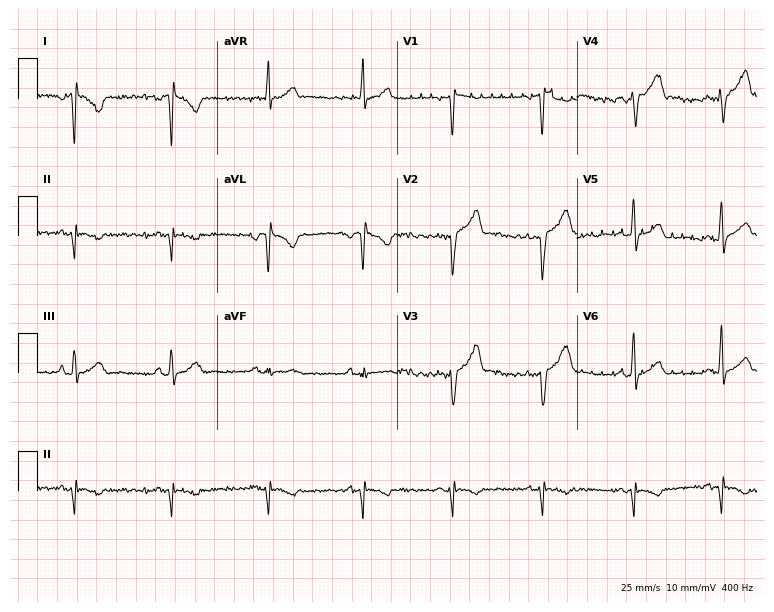
Standard 12-lead ECG recorded from a man, 22 years old. None of these six findings is recorded: first-degree AV block, right bundle branch block, left bundle branch block, sinus bradycardia, atrial fibrillation, sinus tachycardia.